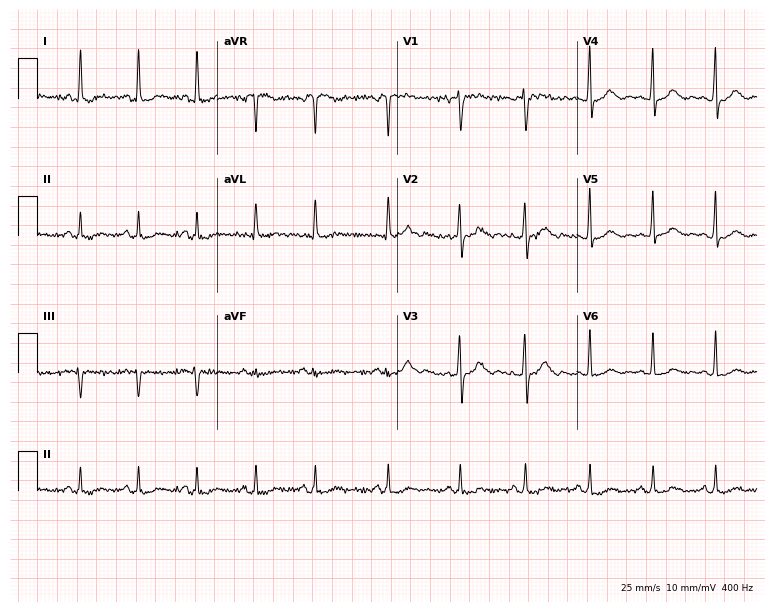
12-lead ECG from a 69-year-old female. Screened for six findings — first-degree AV block, right bundle branch block, left bundle branch block, sinus bradycardia, atrial fibrillation, sinus tachycardia — none is recorded.